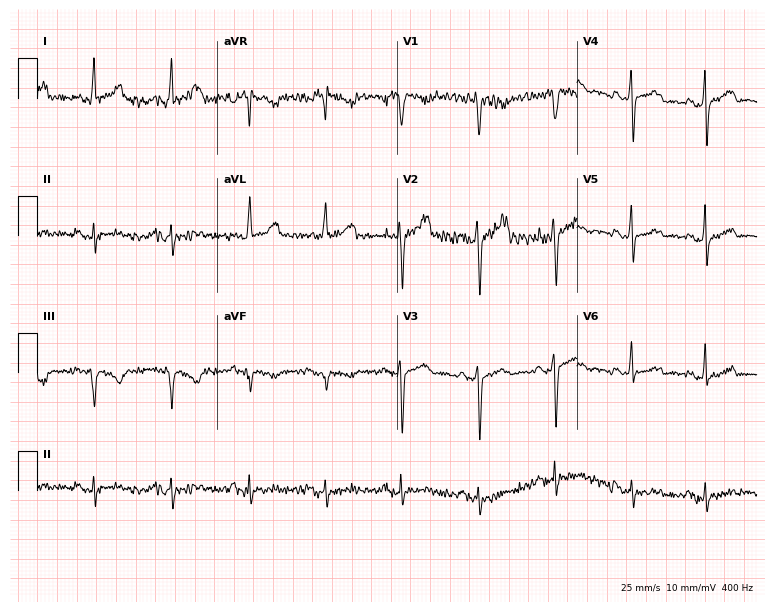
12-lead ECG (7.3-second recording at 400 Hz) from a woman, 36 years old. Screened for six findings — first-degree AV block, right bundle branch block, left bundle branch block, sinus bradycardia, atrial fibrillation, sinus tachycardia — none is recorded. Only these six findings were labelled.